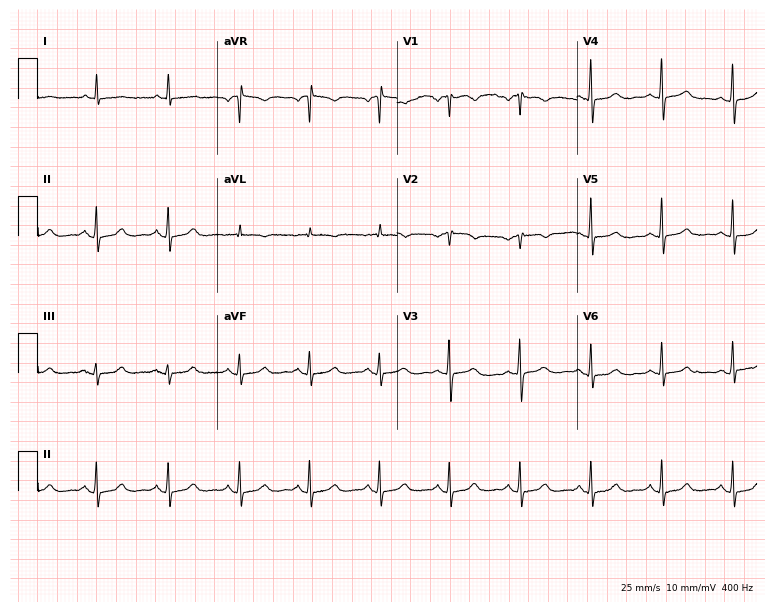
12-lead ECG from a woman, 66 years old (7.3-second recording at 400 Hz). Recorded interpretation: within normal limits.